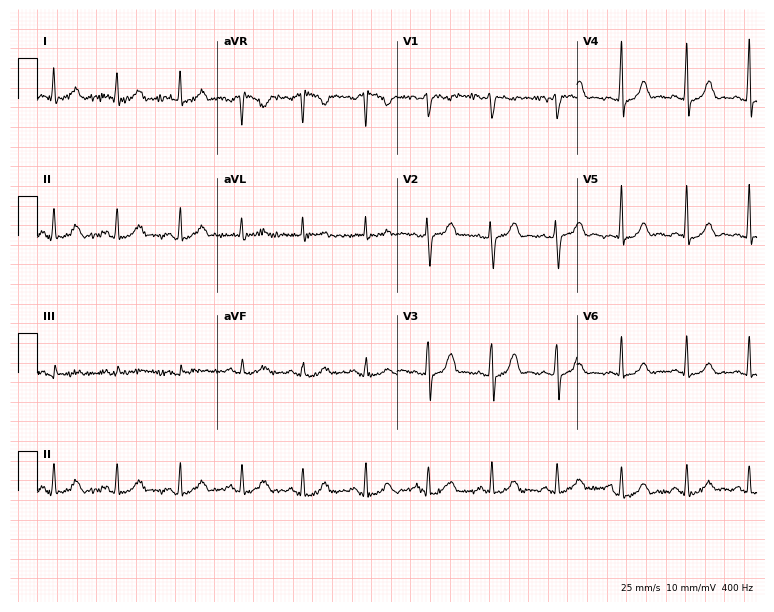
ECG (7.3-second recording at 400 Hz) — a female patient, 27 years old. Labelled as a normal ECG.